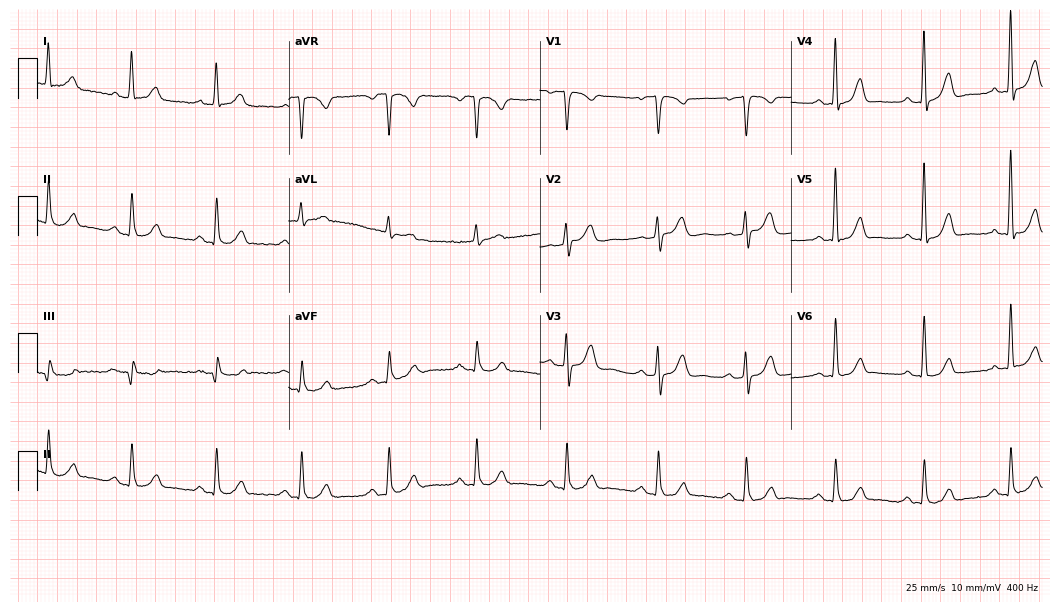
Electrocardiogram (10.2-second recording at 400 Hz), a female, 79 years old. Overall reading on record: normal ECG.